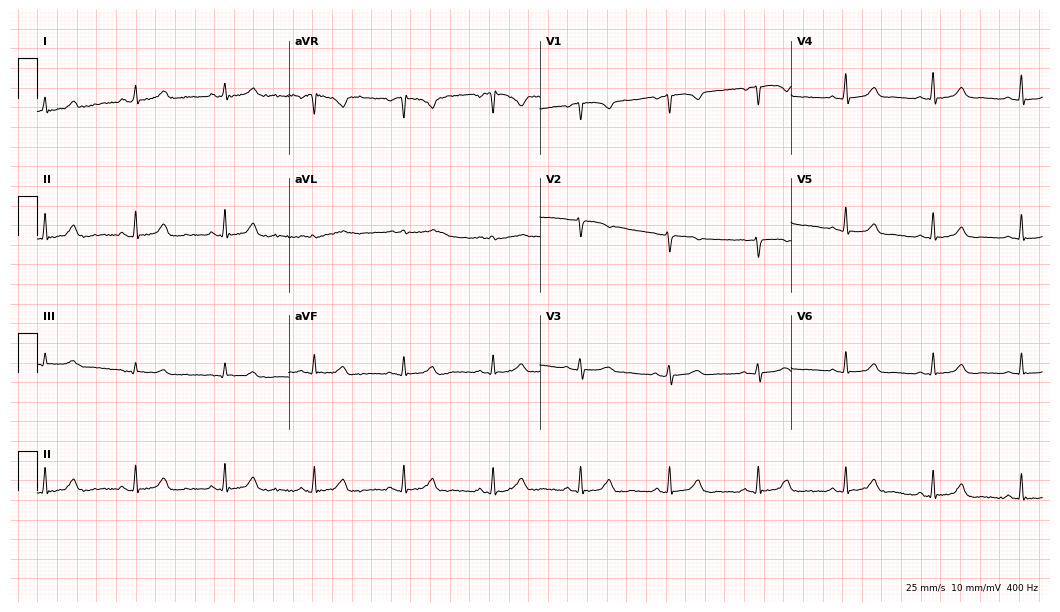
12-lead ECG from a 54-year-old female. Recorded interpretation: within normal limits.